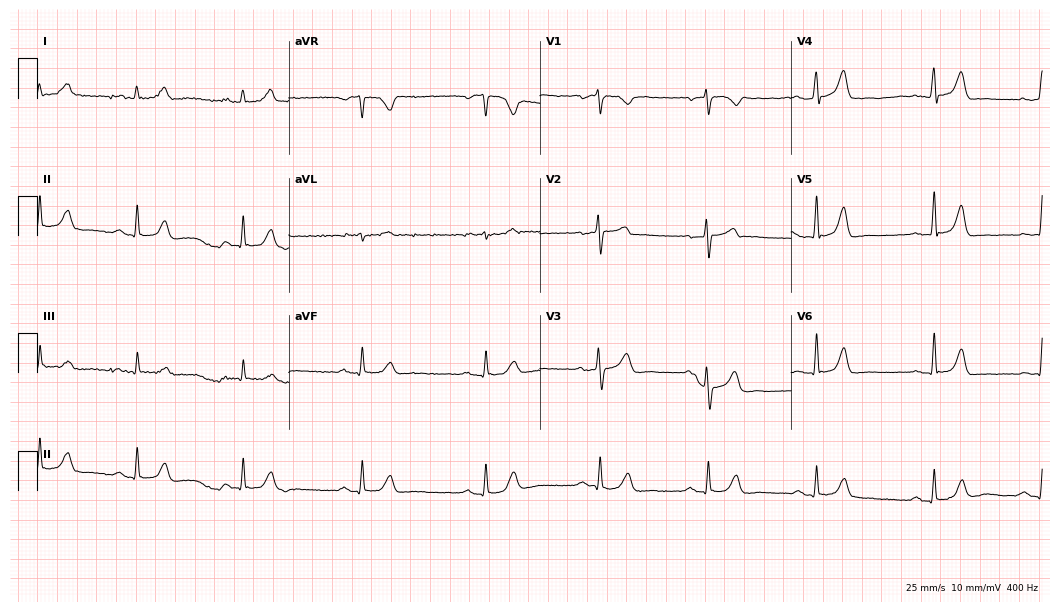
ECG — a man, 70 years old. Labelled as a normal ECG.